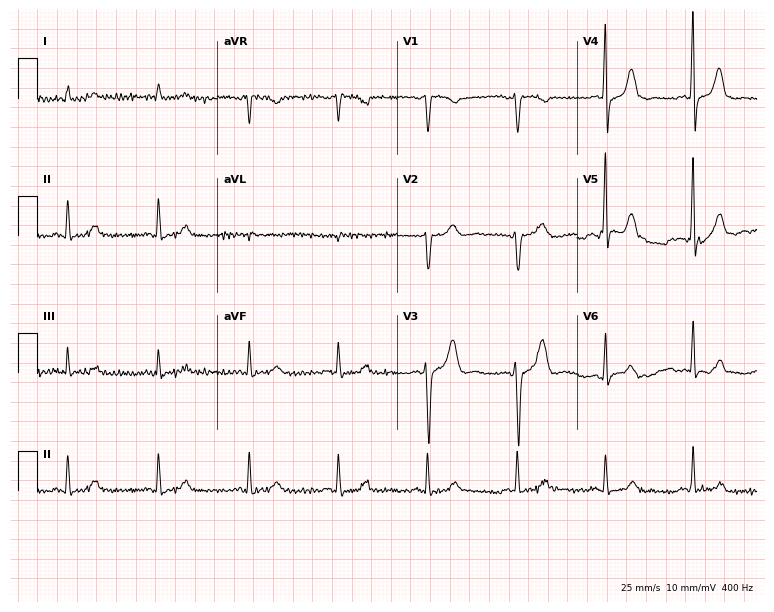
ECG — a woman, 67 years old. Labelled as a normal ECG.